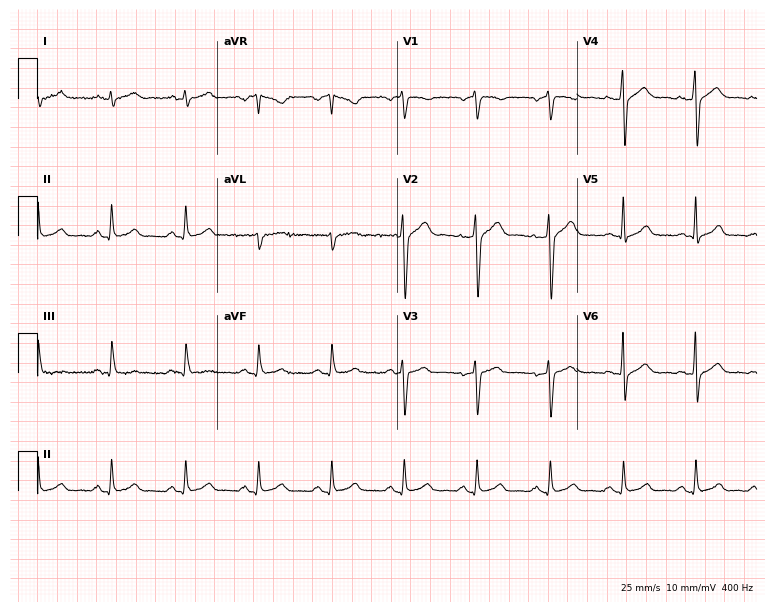
ECG (7.3-second recording at 400 Hz) — a 42-year-old male. Labelled as a normal ECG.